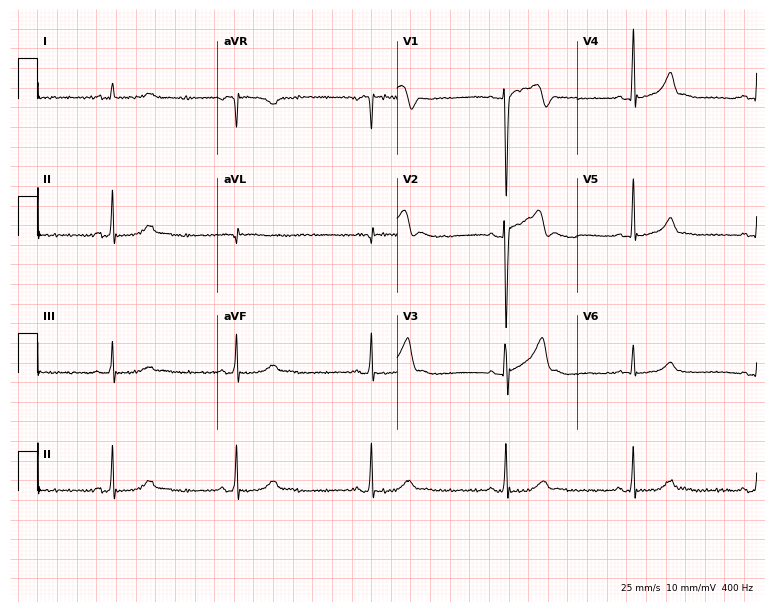
12-lead ECG from a male, 32 years old (7.3-second recording at 400 Hz). No first-degree AV block, right bundle branch block, left bundle branch block, sinus bradycardia, atrial fibrillation or sinus tachycardia recorded for this tracing.